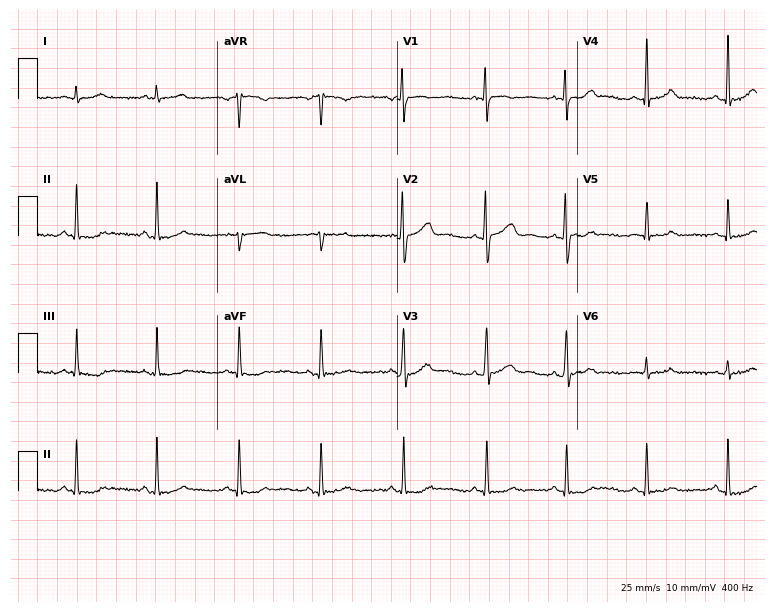
Resting 12-lead electrocardiogram. Patient: a female, 20 years old. Read as a normal ECG.